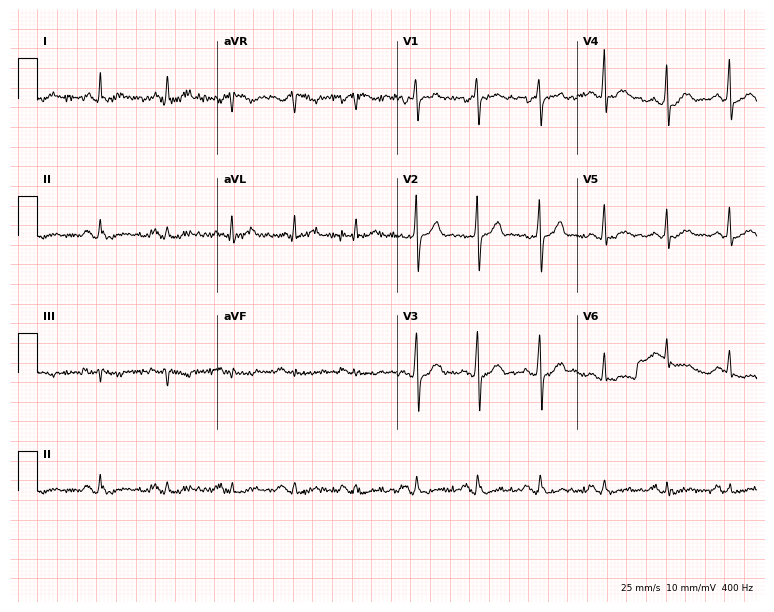
Resting 12-lead electrocardiogram (7.3-second recording at 400 Hz). Patient: a 45-year-old man. None of these six findings is recorded: first-degree AV block, right bundle branch block, left bundle branch block, sinus bradycardia, atrial fibrillation, sinus tachycardia.